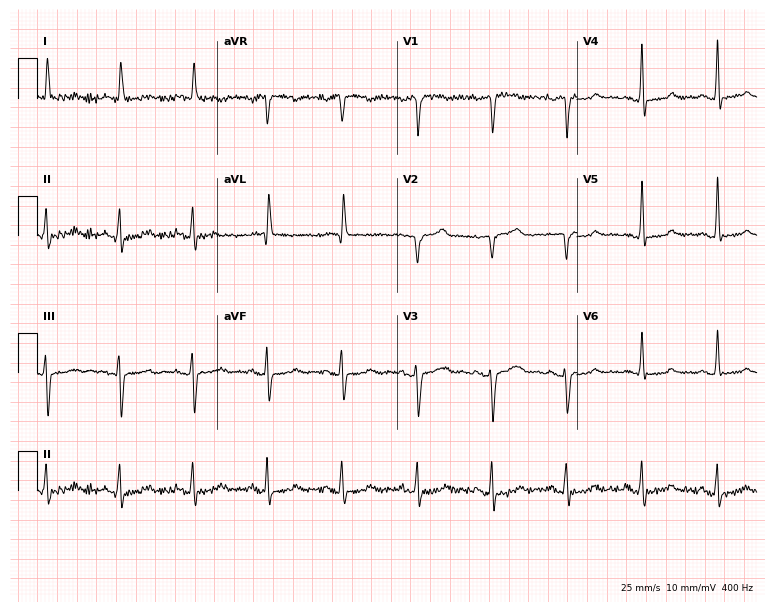
12-lead ECG (7.3-second recording at 400 Hz) from a 75-year-old female. Screened for six findings — first-degree AV block, right bundle branch block (RBBB), left bundle branch block (LBBB), sinus bradycardia, atrial fibrillation (AF), sinus tachycardia — none is recorded.